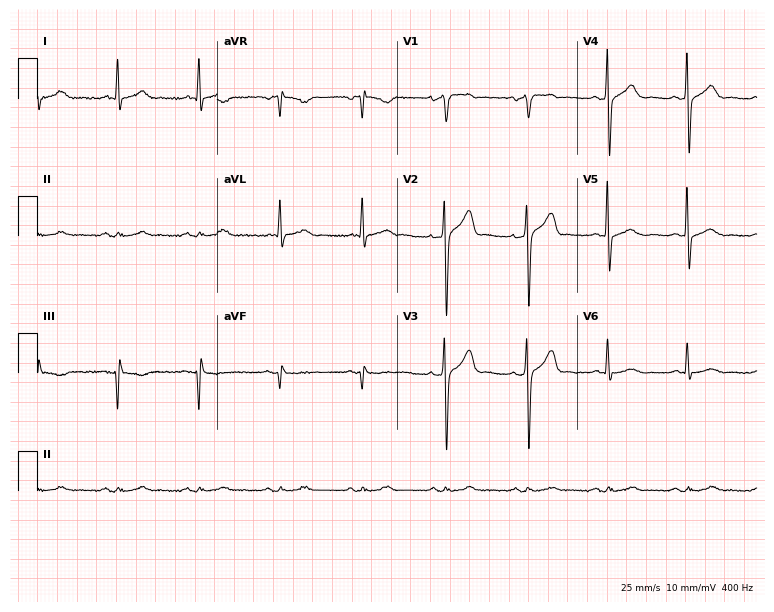
12-lead ECG from a man, 58 years old. Labelled as a normal ECG.